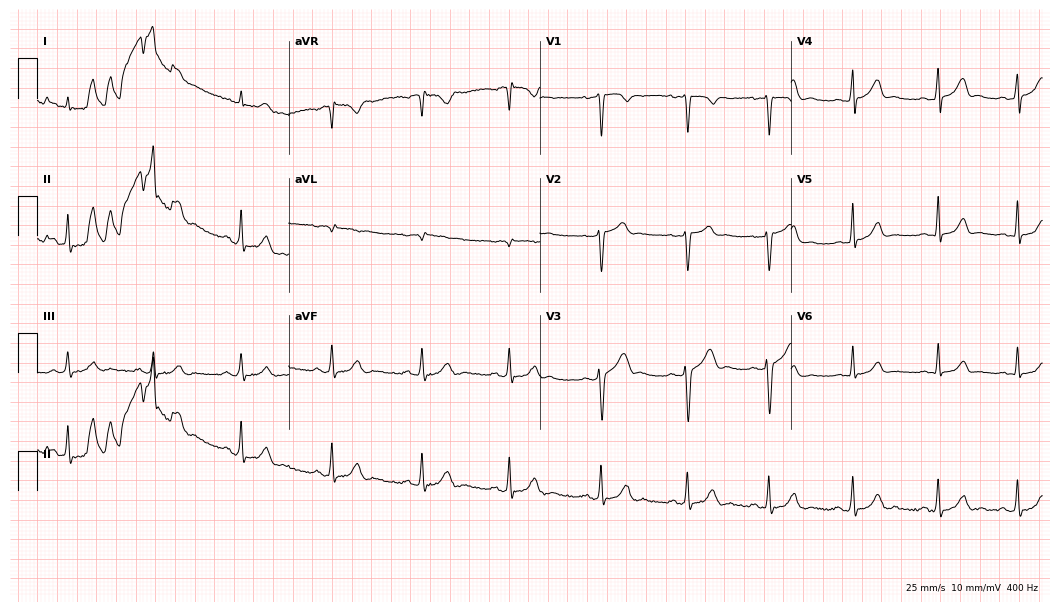
12-lead ECG from a 23-year-old male. No first-degree AV block, right bundle branch block (RBBB), left bundle branch block (LBBB), sinus bradycardia, atrial fibrillation (AF) or sinus tachycardia recorded for this tracing. Other findings, if any, are not listed.